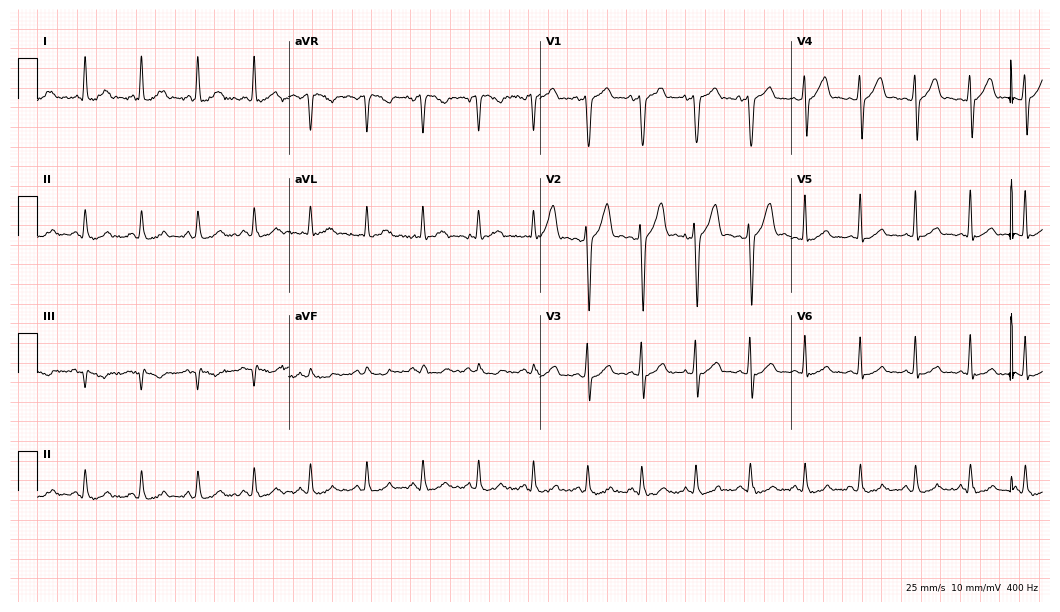
Resting 12-lead electrocardiogram (10.2-second recording at 400 Hz). Patient: a 20-year-old man. The tracing shows sinus tachycardia (a sinus rate of 100 beats per minute or more).